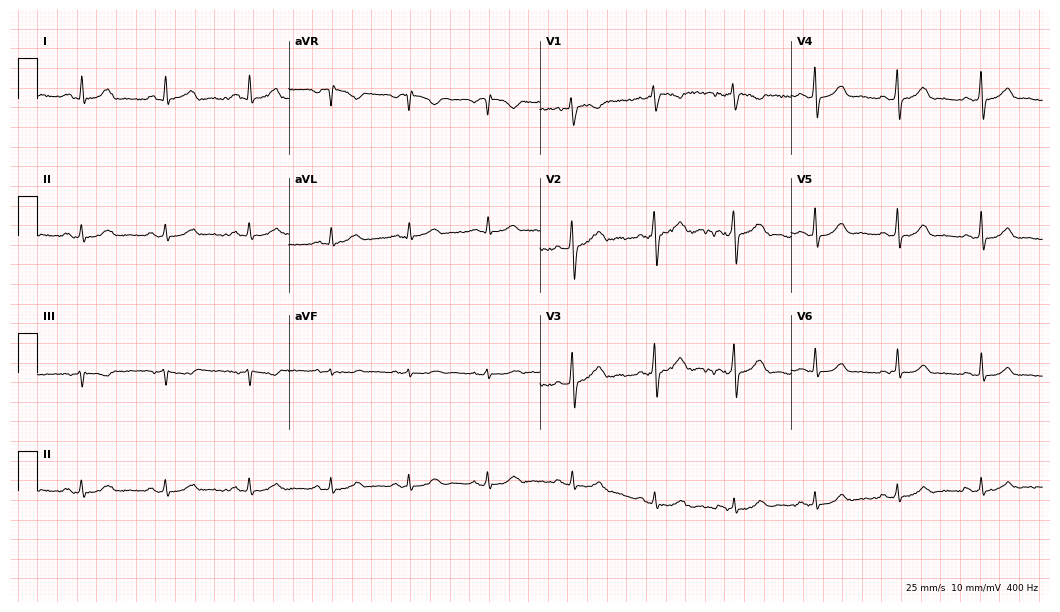
12-lead ECG from a 43-year-old woman. Recorded interpretation: within normal limits.